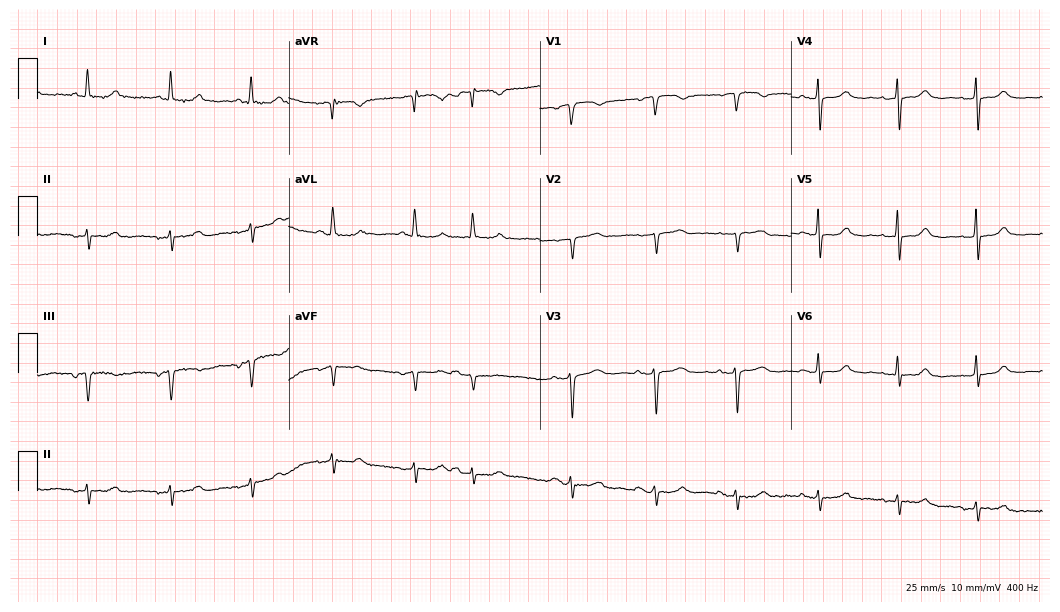
ECG — a female, 73 years old. Screened for six findings — first-degree AV block, right bundle branch block (RBBB), left bundle branch block (LBBB), sinus bradycardia, atrial fibrillation (AF), sinus tachycardia — none is recorded.